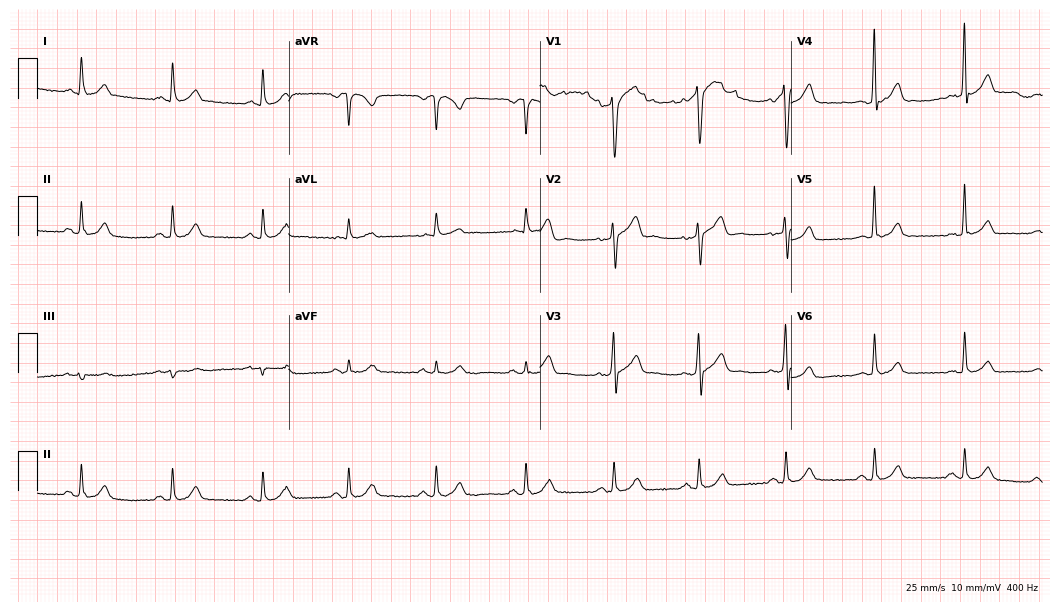
Standard 12-lead ECG recorded from a 60-year-old male patient (10.2-second recording at 400 Hz). Read as a normal ECG.